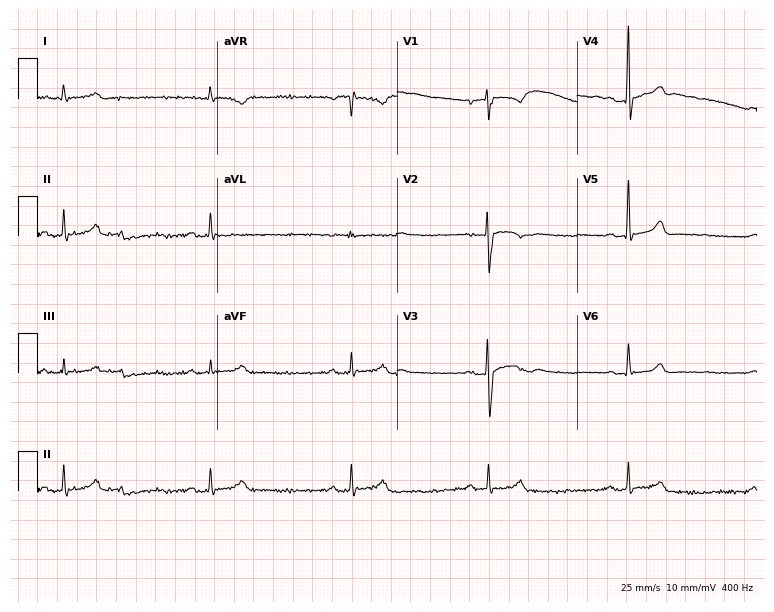
Resting 12-lead electrocardiogram. Patient: an 18-year-old man. The tracing shows sinus bradycardia (a sinus rate of 50 beats per minute or less).